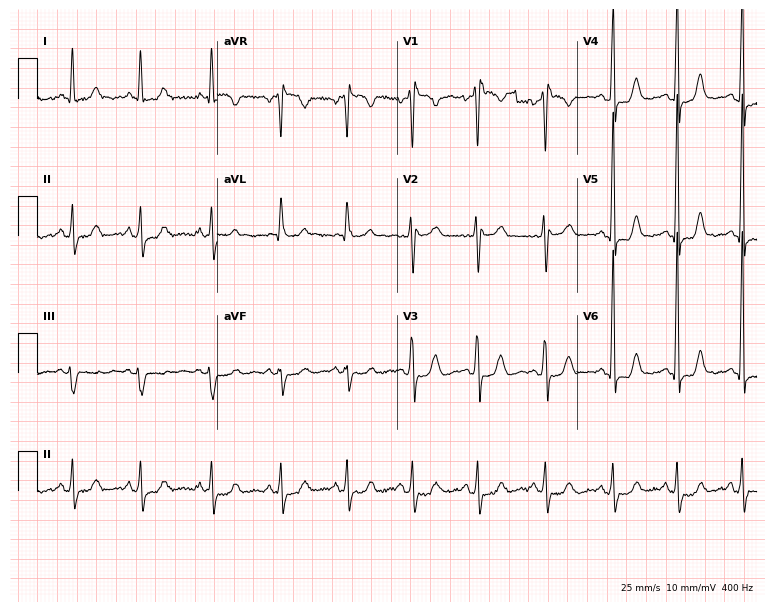
ECG — a 60-year-old female patient. Screened for six findings — first-degree AV block, right bundle branch block, left bundle branch block, sinus bradycardia, atrial fibrillation, sinus tachycardia — none is recorded.